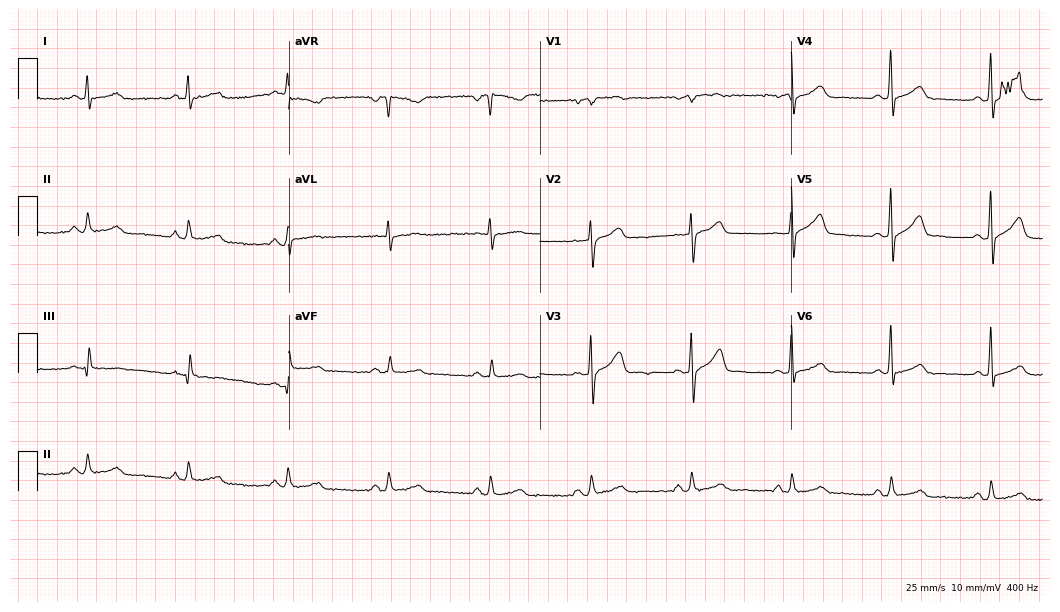
12-lead ECG from a male patient, 61 years old (10.2-second recording at 400 Hz). Recorded interpretation: within normal limits.